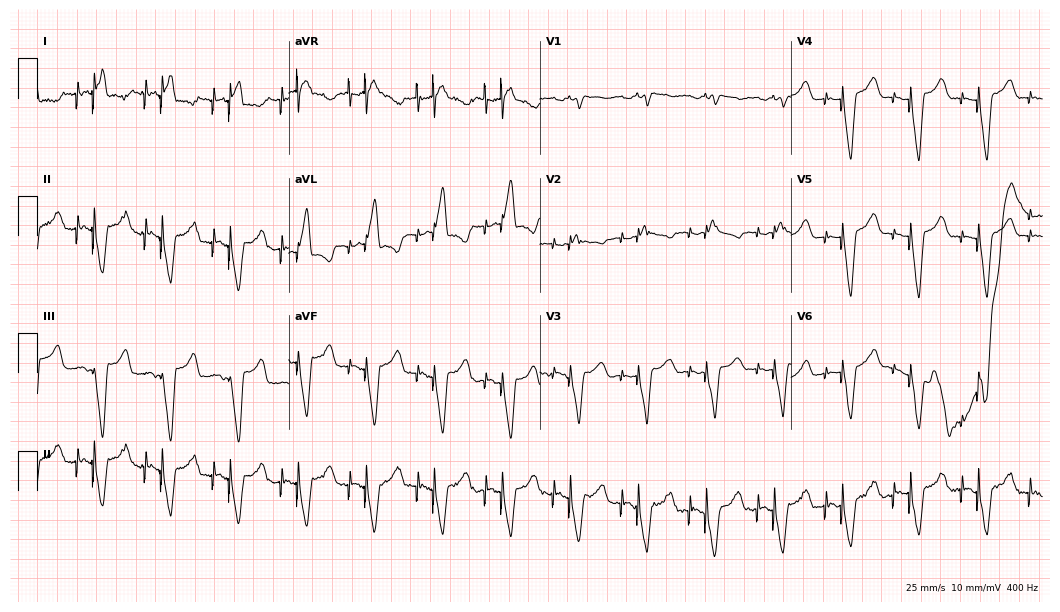
Resting 12-lead electrocardiogram. Patient: a 76-year-old woman. None of these six findings is recorded: first-degree AV block, right bundle branch block, left bundle branch block, sinus bradycardia, atrial fibrillation, sinus tachycardia. Only these six findings were labelled.